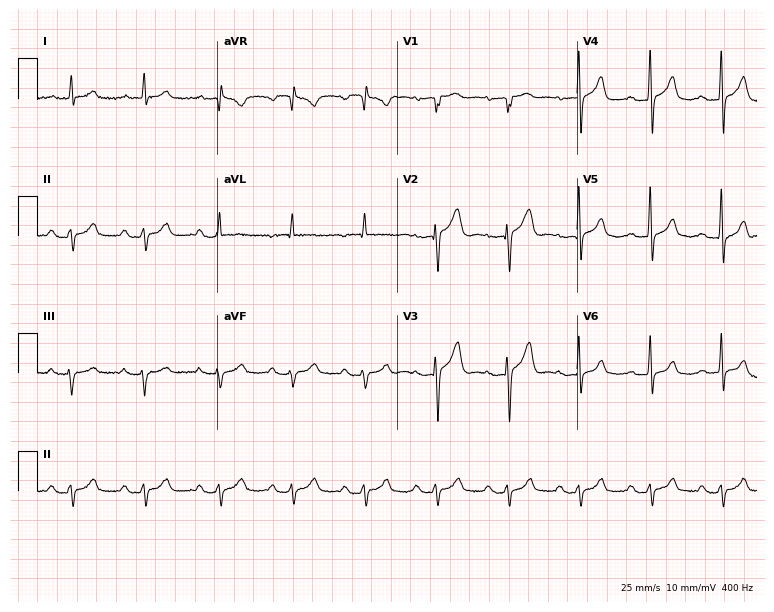
ECG — a man, 67 years old. Screened for six findings — first-degree AV block, right bundle branch block, left bundle branch block, sinus bradycardia, atrial fibrillation, sinus tachycardia — none is recorded. Only these six findings were labelled.